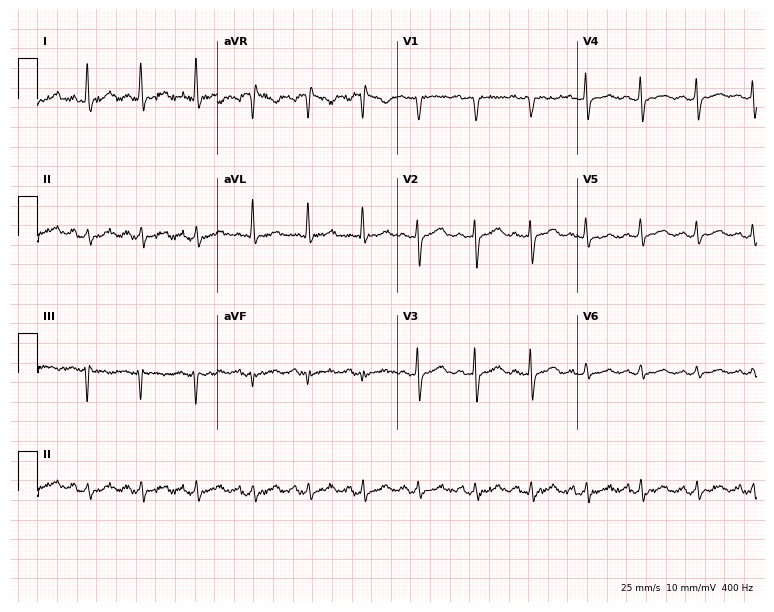
Resting 12-lead electrocardiogram (7.3-second recording at 400 Hz). Patient: a 34-year-old woman. The tracing shows sinus tachycardia (a sinus rate of 100 beats per minute or more).